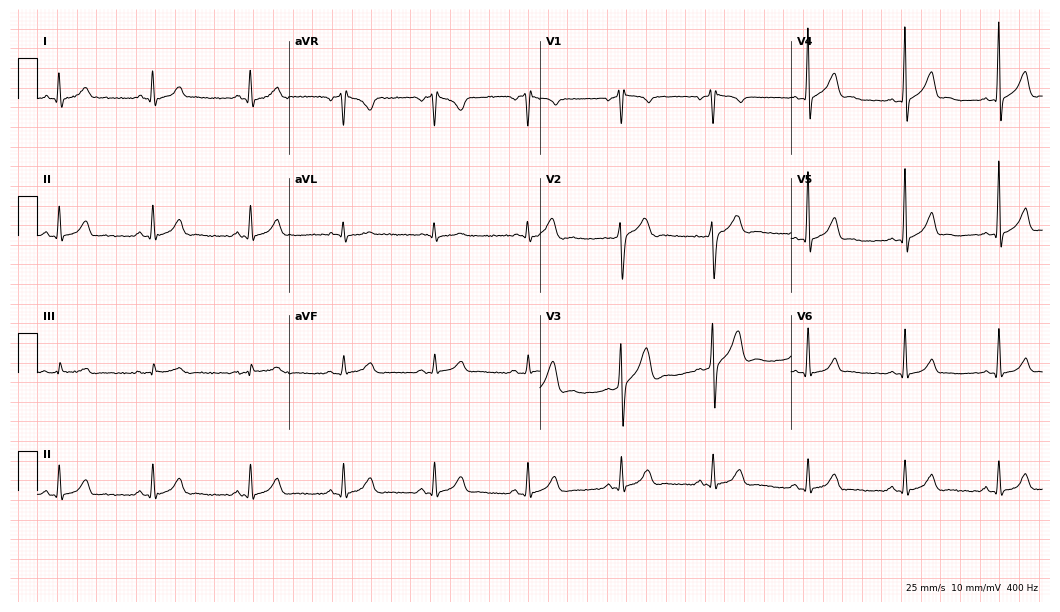
Resting 12-lead electrocardiogram (10.2-second recording at 400 Hz). Patient: a 27-year-old man. Read as a normal ECG.